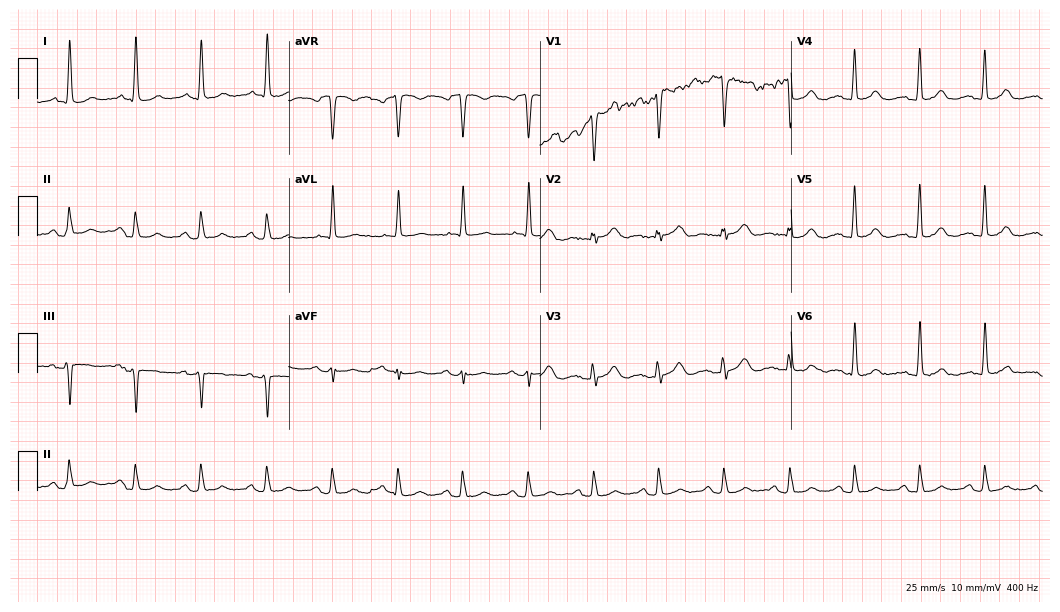
12-lead ECG from a female, 79 years old (10.2-second recording at 400 Hz). No first-degree AV block, right bundle branch block (RBBB), left bundle branch block (LBBB), sinus bradycardia, atrial fibrillation (AF) or sinus tachycardia recorded for this tracing.